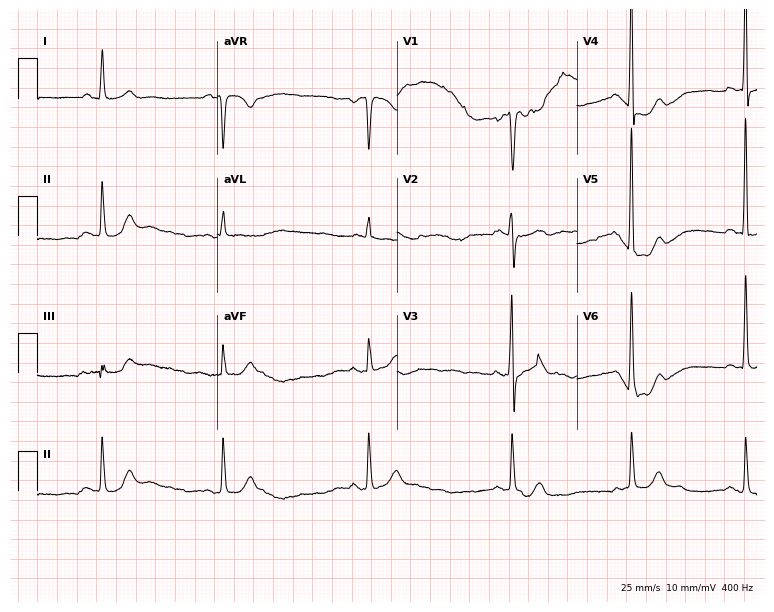
12-lead ECG from a male patient, 75 years old. Labelled as a normal ECG.